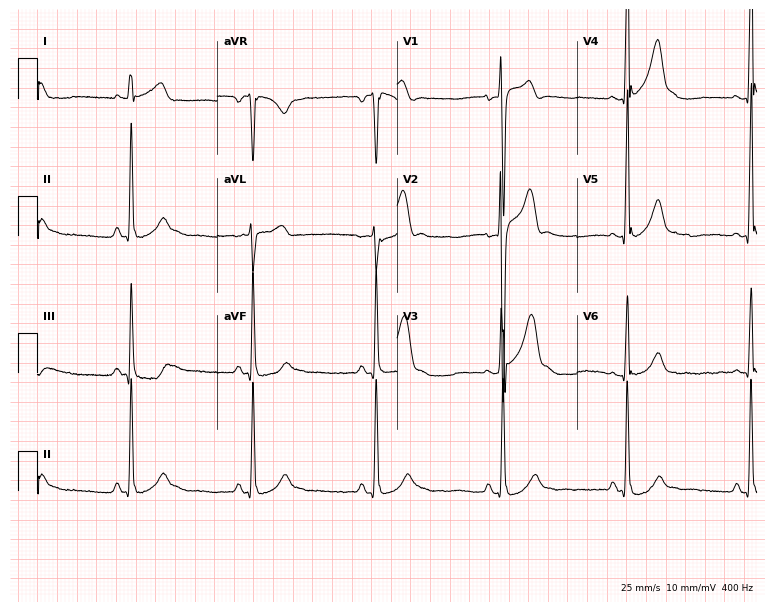
Standard 12-lead ECG recorded from a 21-year-old male (7.3-second recording at 400 Hz). The tracing shows sinus bradycardia (a sinus rate of 50 beats per minute or less).